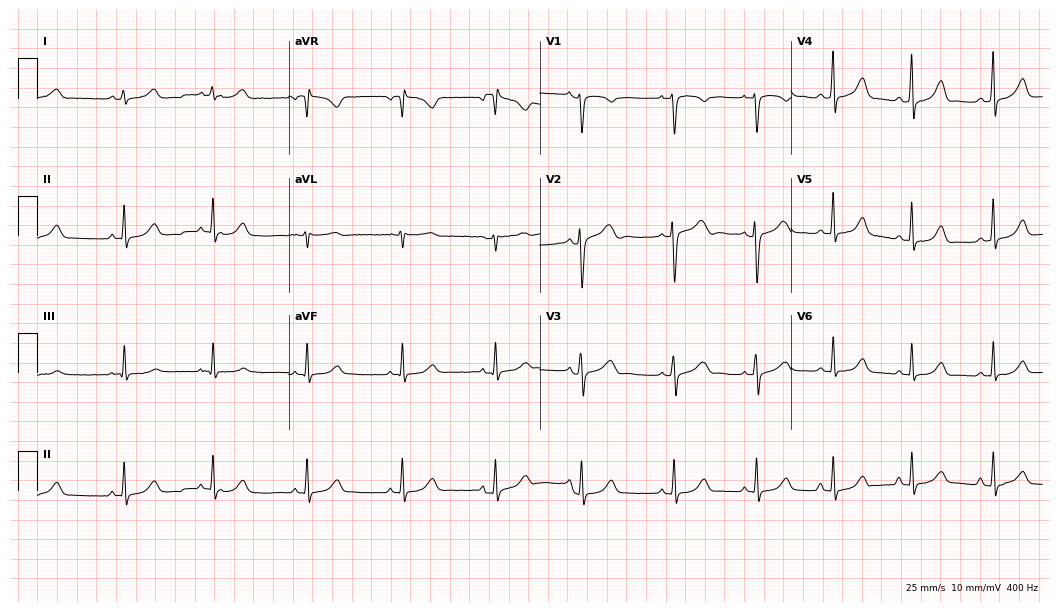
Resting 12-lead electrocardiogram (10.2-second recording at 400 Hz). Patient: a woman, 27 years old. Read as a normal ECG.